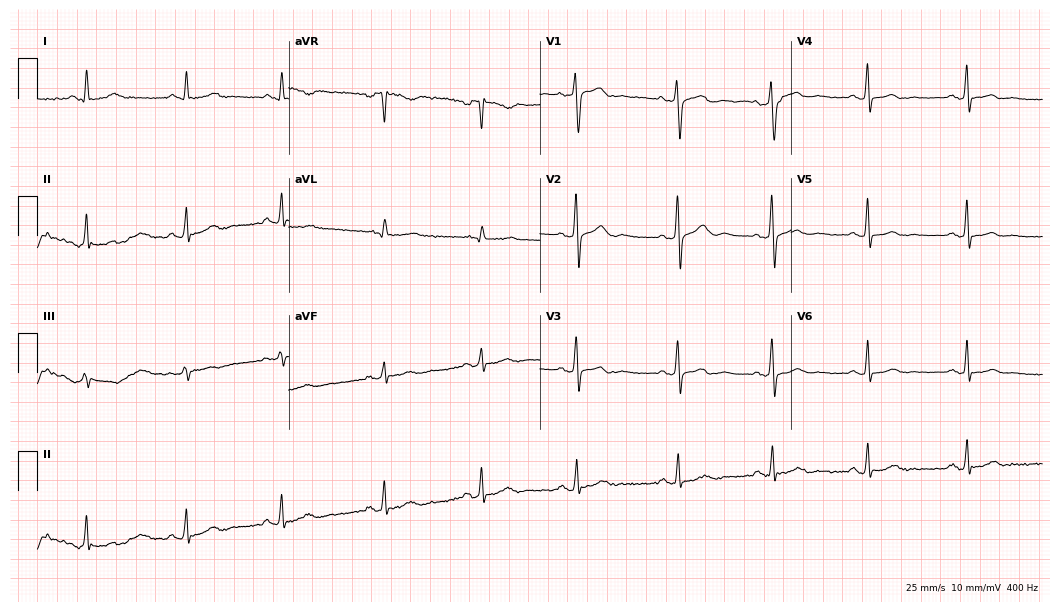
12-lead ECG from a woman, 51 years old (10.2-second recording at 400 Hz). Recorded interpretation: within normal limits.